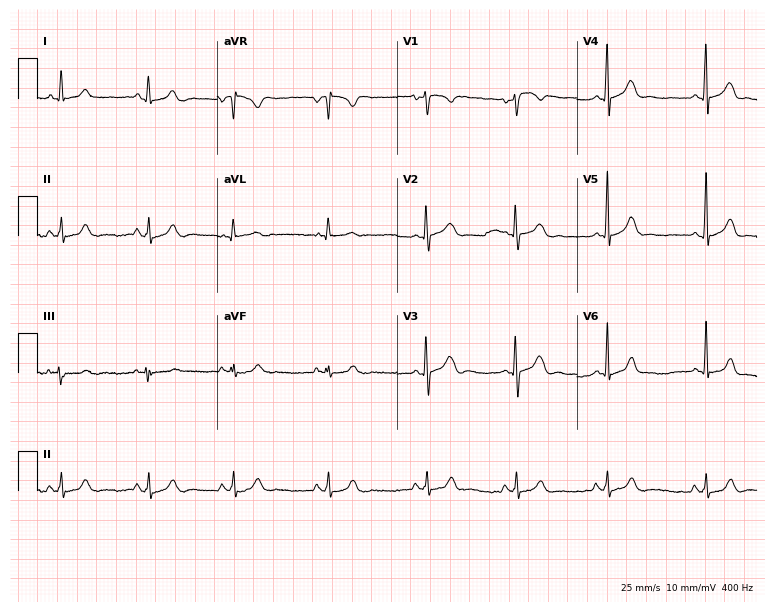
ECG — a woman, 19 years old. Labelled as a normal ECG.